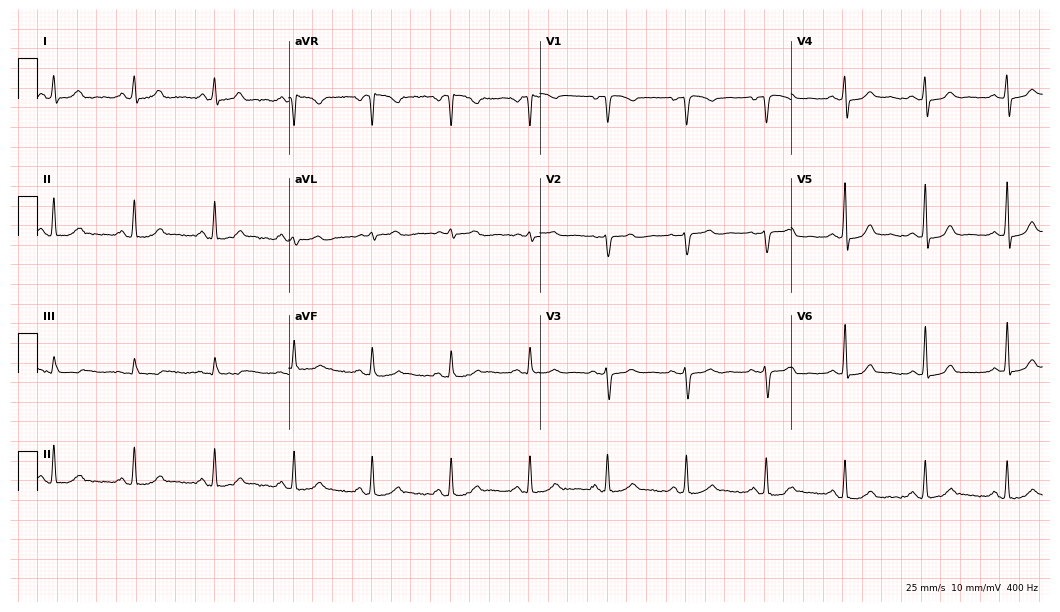
12-lead ECG from a female, 49 years old. Labelled as a normal ECG.